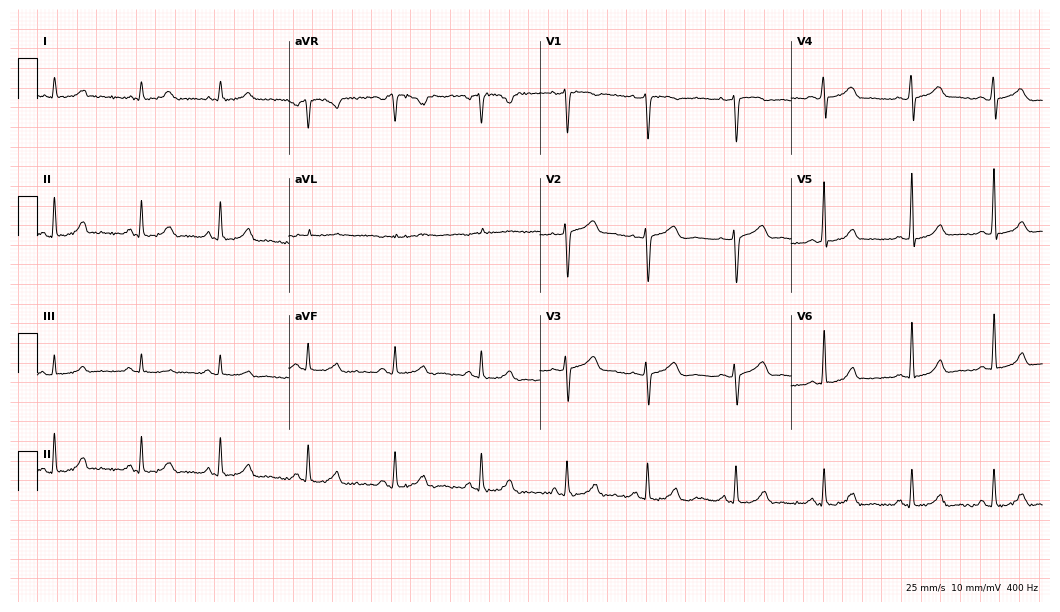
12-lead ECG (10.2-second recording at 400 Hz) from a woman, 29 years old. Labelled as a normal ECG.